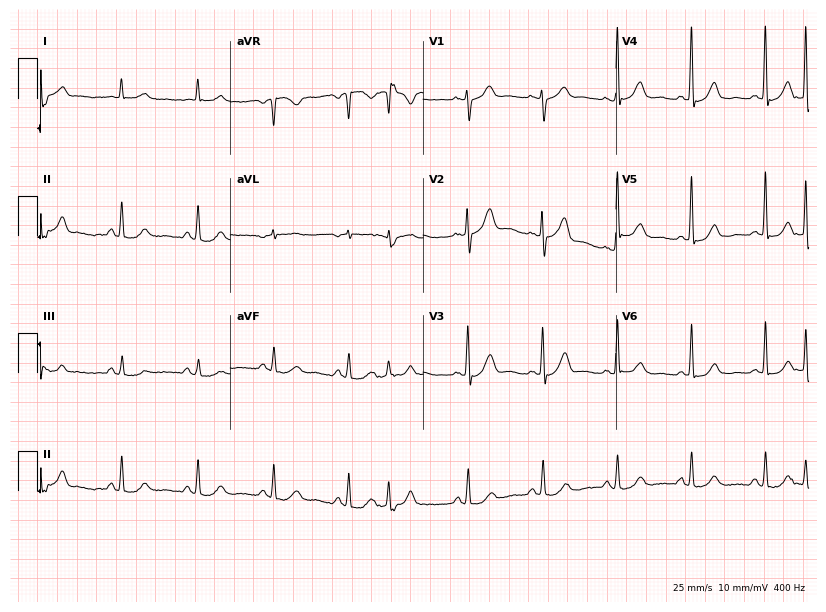
ECG (7.9-second recording at 400 Hz) — a 75-year-old man. Screened for six findings — first-degree AV block, right bundle branch block, left bundle branch block, sinus bradycardia, atrial fibrillation, sinus tachycardia — none is recorded.